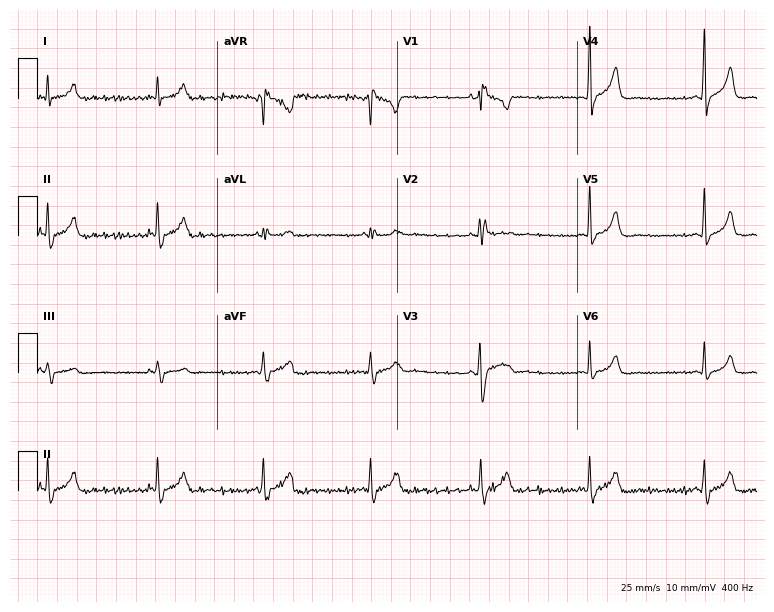
Resting 12-lead electrocardiogram. Patient: a 24-year-old male. None of these six findings is recorded: first-degree AV block, right bundle branch block (RBBB), left bundle branch block (LBBB), sinus bradycardia, atrial fibrillation (AF), sinus tachycardia.